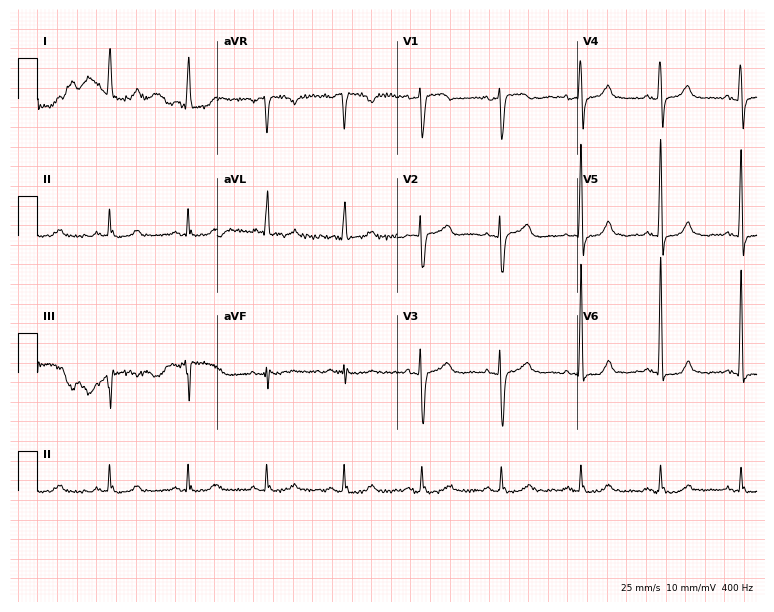
Resting 12-lead electrocardiogram. Patient: a female, 68 years old. Read as a normal ECG.